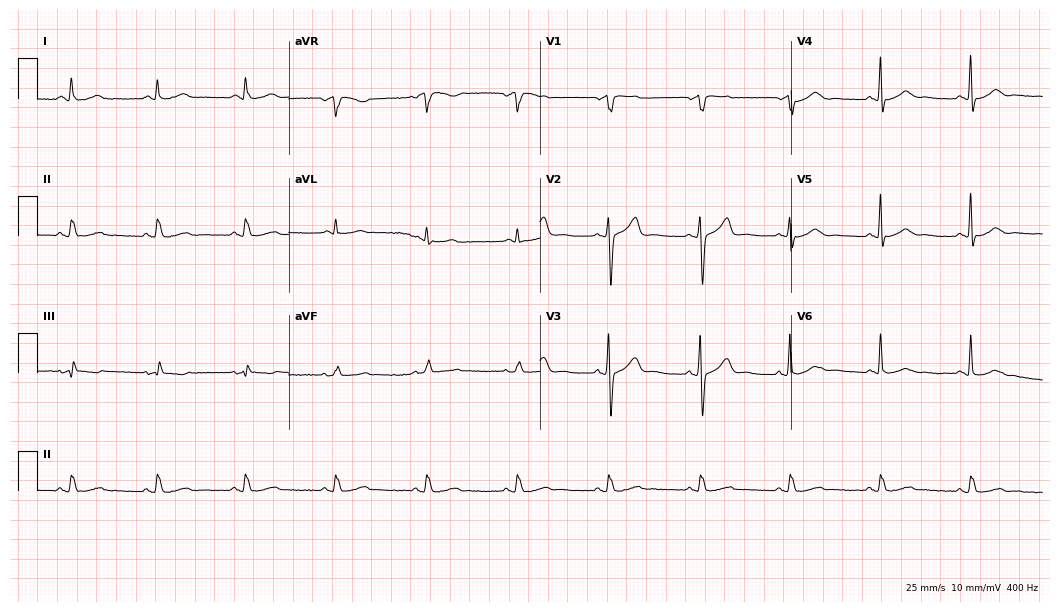
12-lead ECG from a 57-year-old male patient. Labelled as a normal ECG.